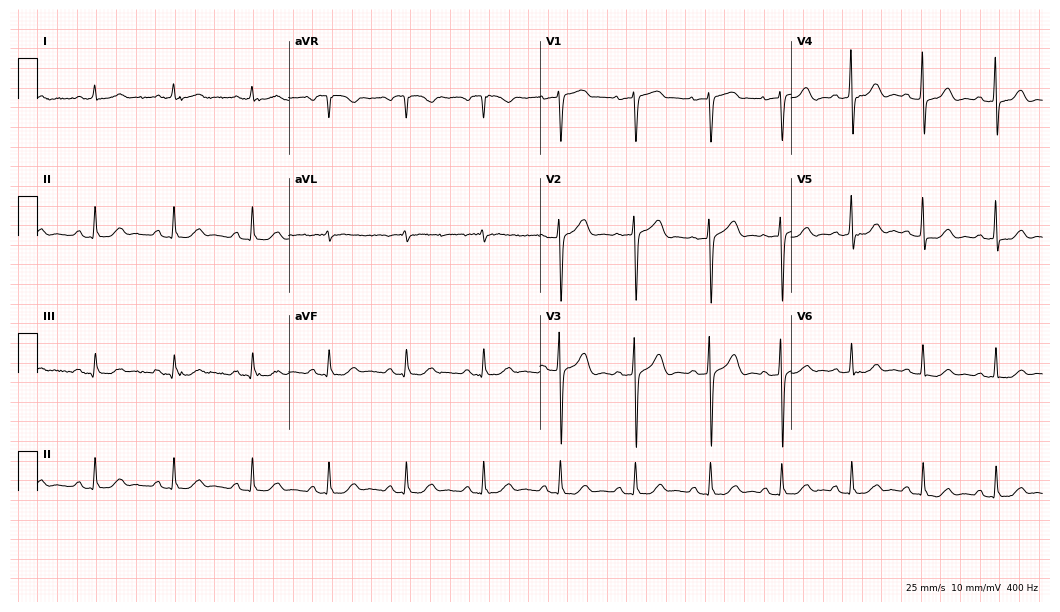
Resting 12-lead electrocardiogram (10.2-second recording at 400 Hz). Patient: a 74-year-old male. Read as a normal ECG.